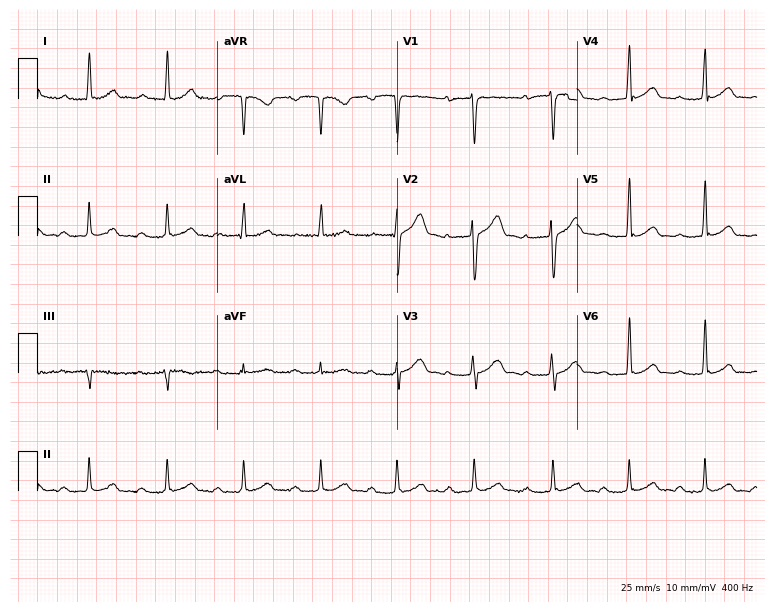
Resting 12-lead electrocardiogram. Patient: a 31-year-old male. The tracing shows first-degree AV block.